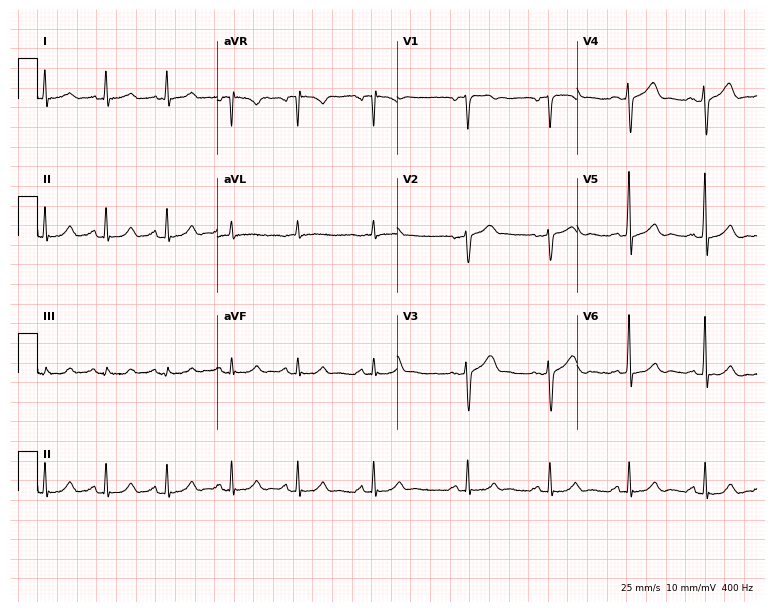
Electrocardiogram, a 49-year-old male patient. Overall reading on record: normal ECG.